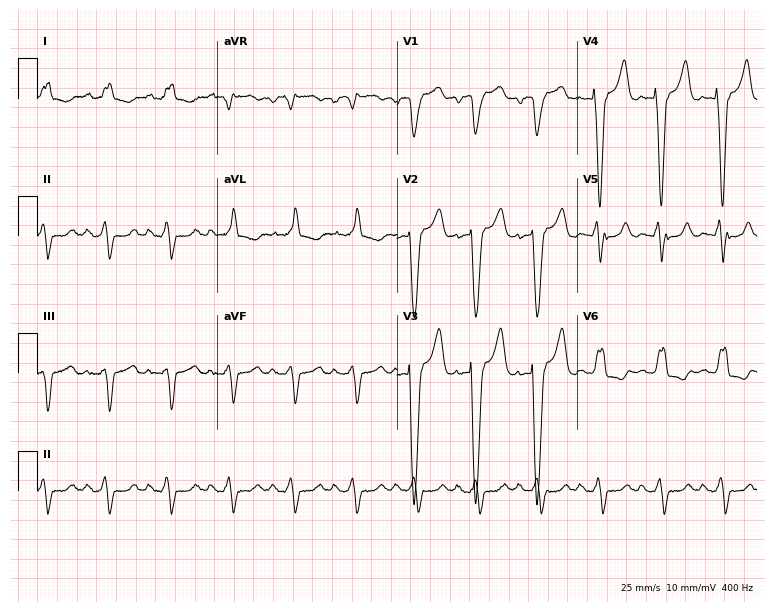
Electrocardiogram, a 35-year-old female patient. Of the six screened findings (first-degree AV block, right bundle branch block, left bundle branch block, sinus bradycardia, atrial fibrillation, sinus tachycardia), none is recorded.